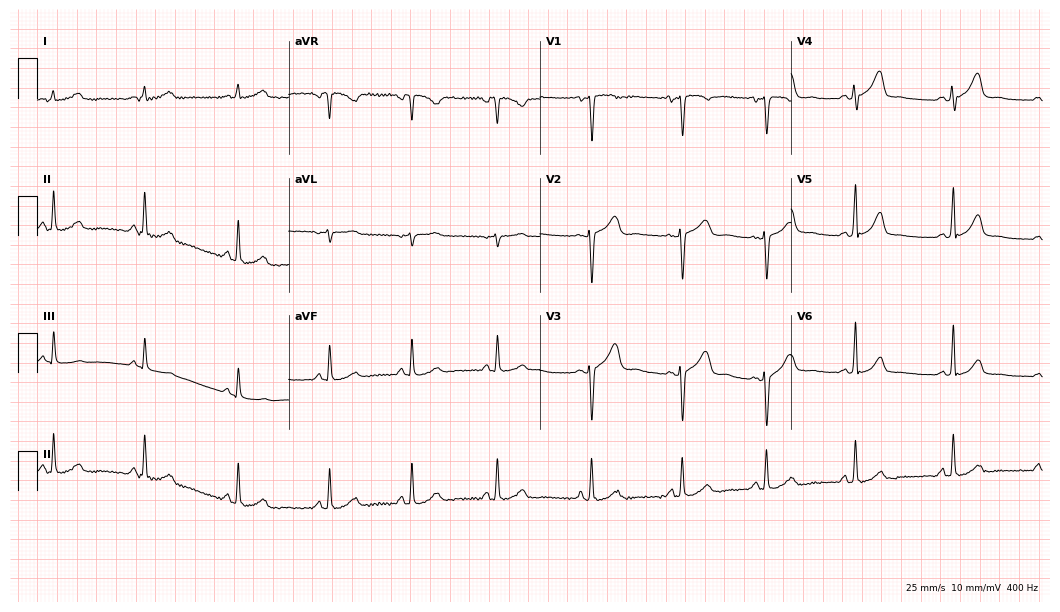
12-lead ECG from a 28-year-old woman (10.2-second recording at 400 Hz). Recorded interpretation: within normal limits.